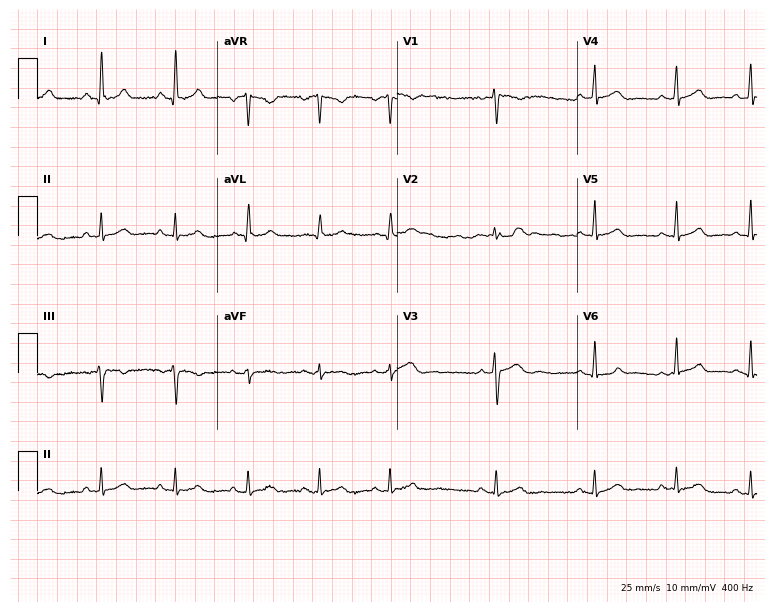
Electrocardiogram (7.3-second recording at 400 Hz), a 43-year-old woman. Overall reading on record: normal ECG.